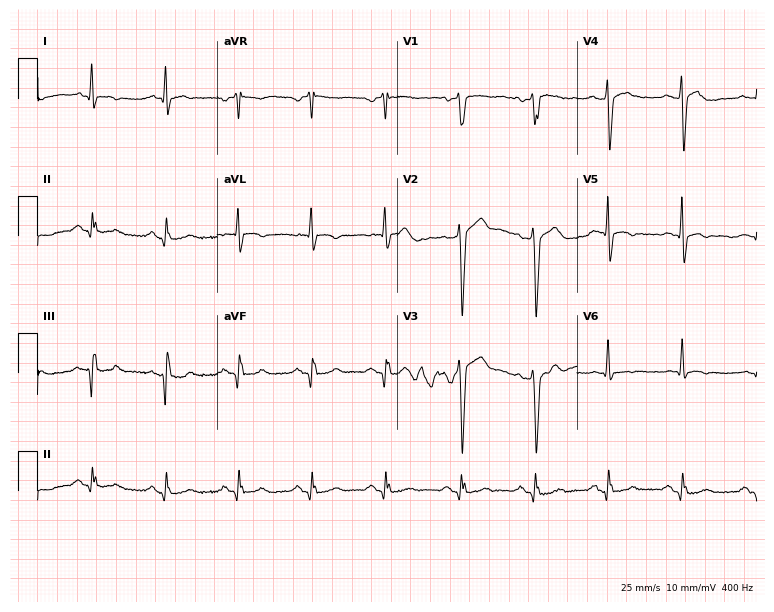
Standard 12-lead ECG recorded from a male patient, 60 years old. None of these six findings is recorded: first-degree AV block, right bundle branch block, left bundle branch block, sinus bradycardia, atrial fibrillation, sinus tachycardia.